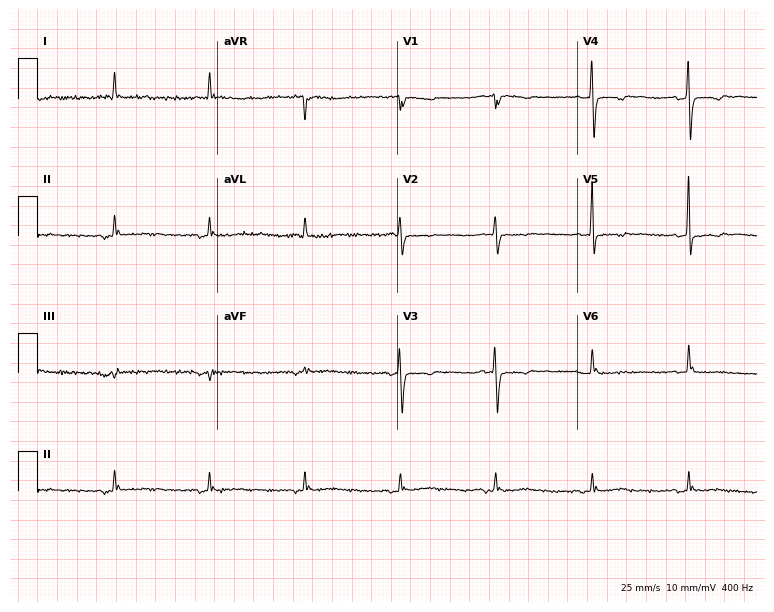
Standard 12-lead ECG recorded from a female, 76 years old (7.3-second recording at 400 Hz). None of these six findings is recorded: first-degree AV block, right bundle branch block (RBBB), left bundle branch block (LBBB), sinus bradycardia, atrial fibrillation (AF), sinus tachycardia. Findings outside these six are not listed.